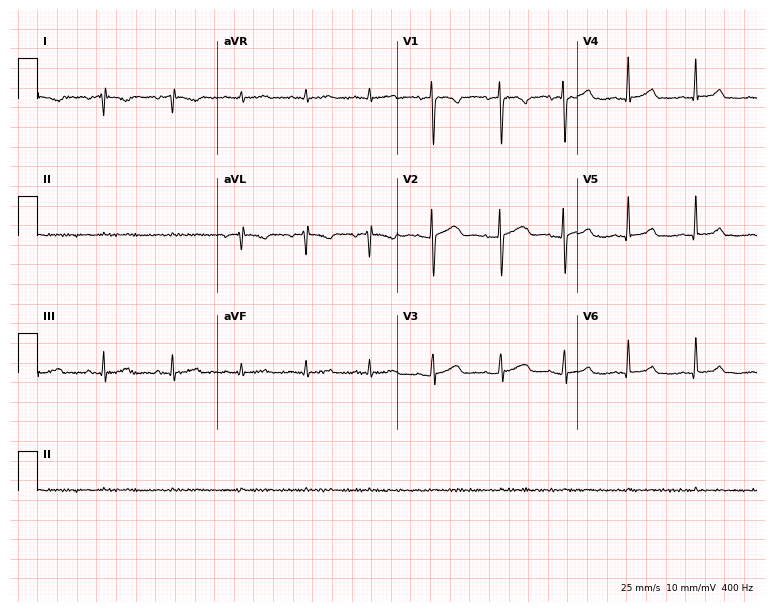
Resting 12-lead electrocardiogram (7.3-second recording at 400 Hz). Patient: a 30-year-old female. None of these six findings is recorded: first-degree AV block, right bundle branch block, left bundle branch block, sinus bradycardia, atrial fibrillation, sinus tachycardia.